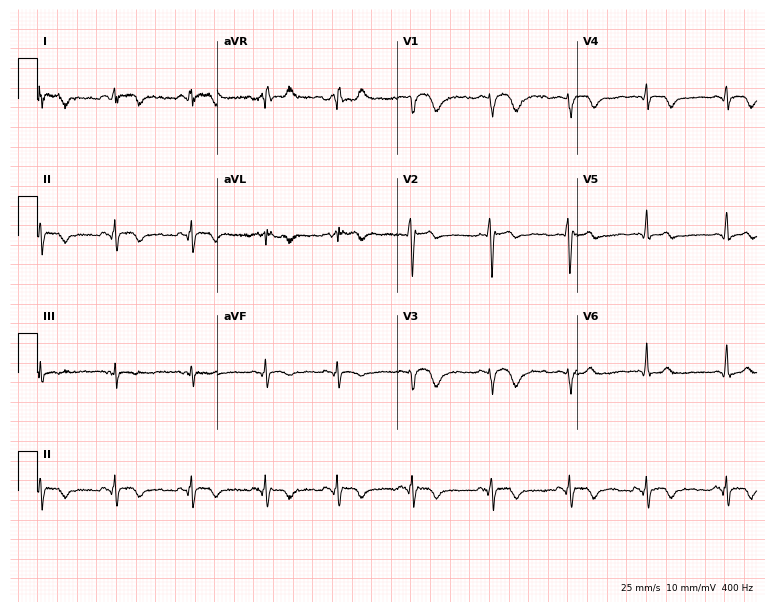
Standard 12-lead ECG recorded from a woman, 38 years old. None of these six findings is recorded: first-degree AV block, right bundle branch block (RBBB), left bundle branch block (LBBB), sinus bradycardia, atrial fibrillation (AF), sinus tachycardia.